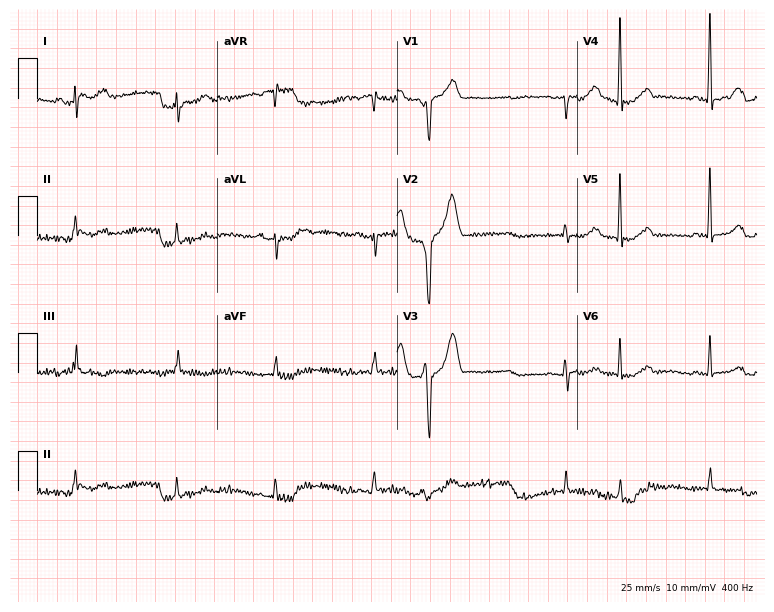
Electrocardiogram (7.3-second recording at 400 Hz), an 84-year-old man. Of the six screened findings (first-degree AV block, right bundle branch block (RBBB), left bundle branch block (LBBB), sinus bradycardia, atrial fibrillation (AF), sinus tachycardia), none is recorded. Findings outside these six are not listed.